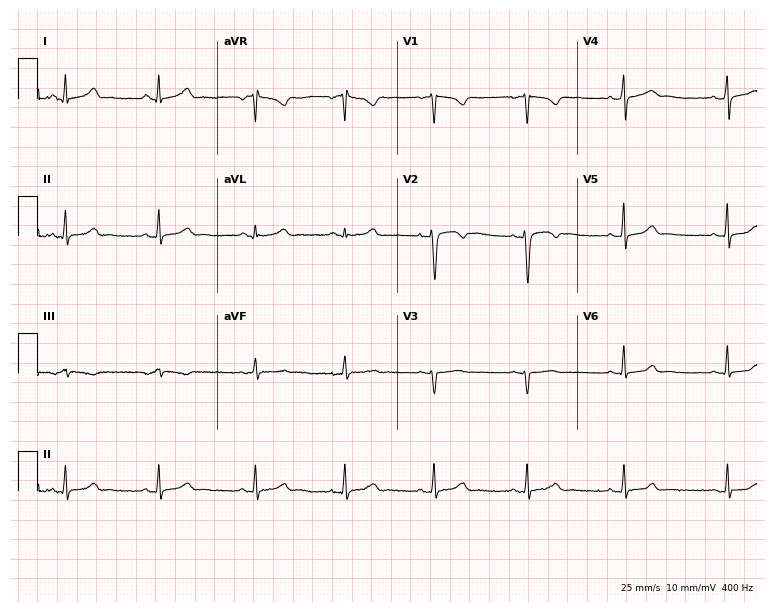
Resting 12-lead electrocardiogram. Patient: a 29-year-old female. Read as a normal ECG.